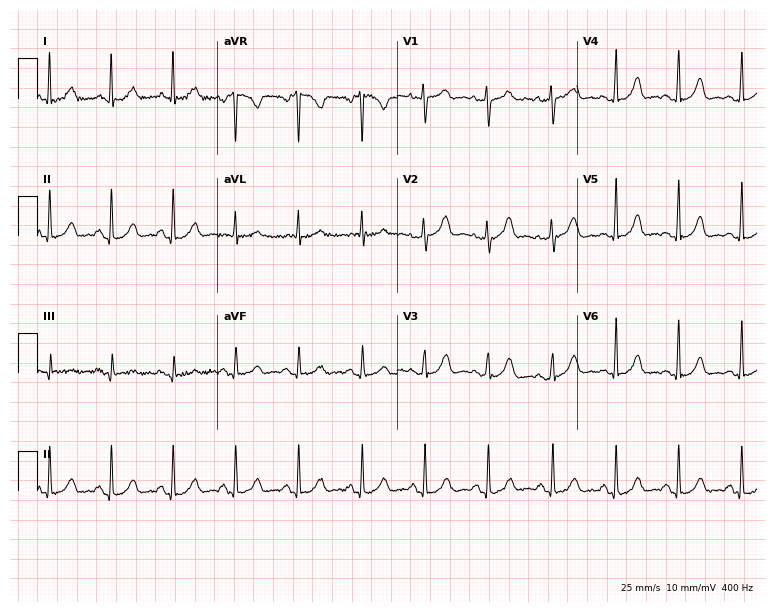
Resting 12-lead electrocardiogram. Patient: a 51-year-old woman. Read as a normal ECG.